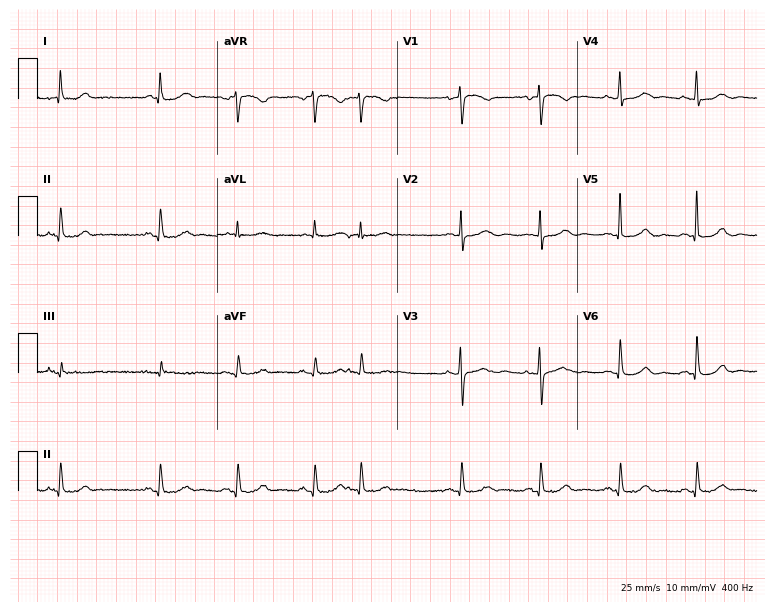
12-lead ECG from an 81-year-old female. No first-degree AV block, right bundle branch block, left bundle branch block, sinus bradycardia, atrial fibrillation or sinus tachycardia recorded for this tracing. Only these six findings were labelled.